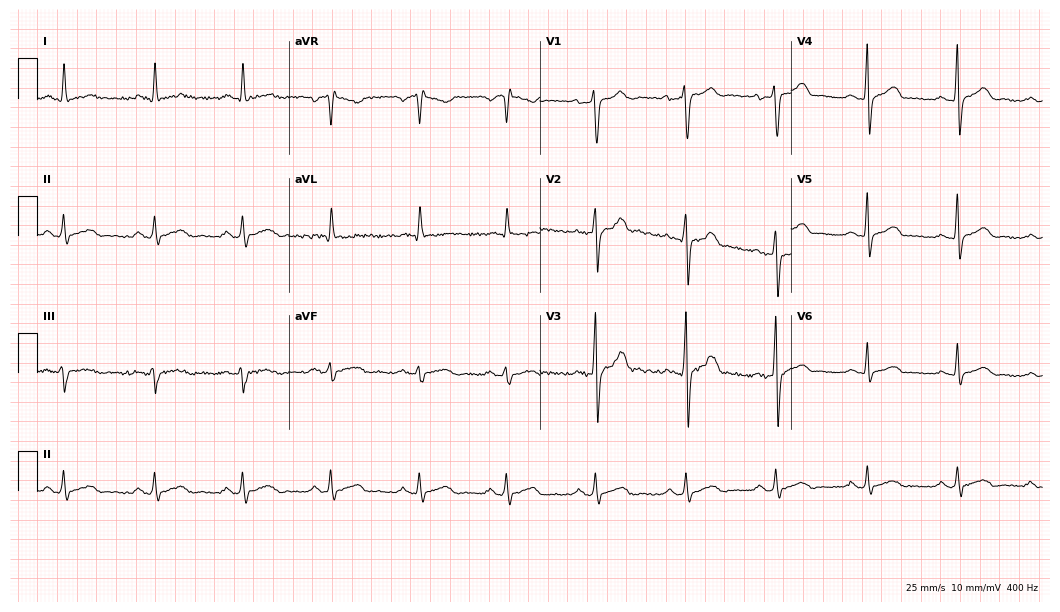
12-lead ECG (10.2-second recording at 400 Hz) from a male, 39 years old. Labelled as a normal ECG.